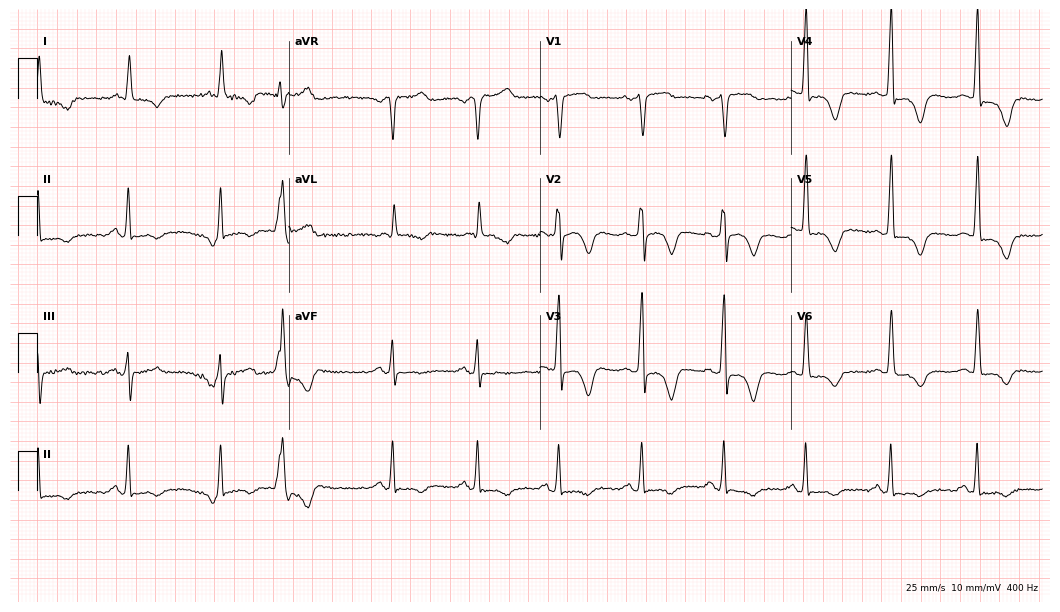
12-lead ECG (10.2-second recording at 400 Hz) from a male, 73 years old. Screened for six findings — first-degree AV block, right bundle branch block, left bundle branch block, sinus bradycardia, atrial fibrillation, sinus tachycardia — none is recorded.